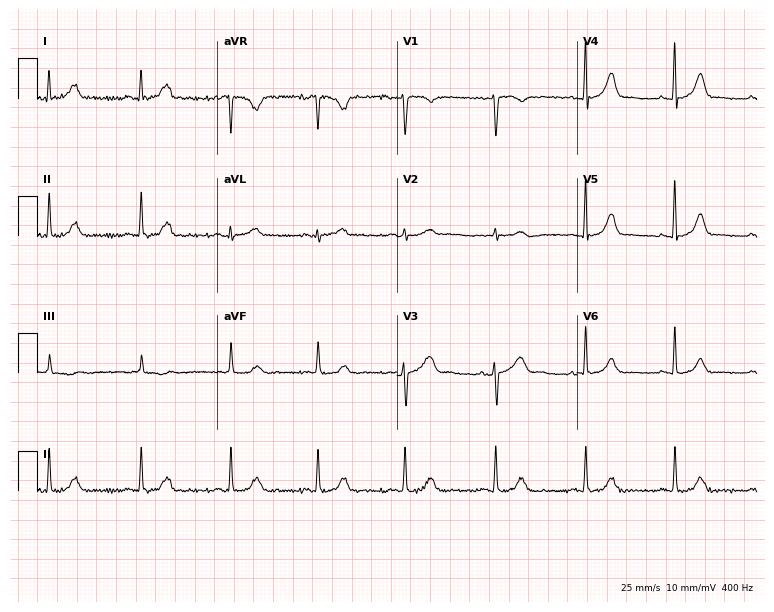
12-lead ECG from a female patient, 38 years old. Recorded interpretation: within normal limits.